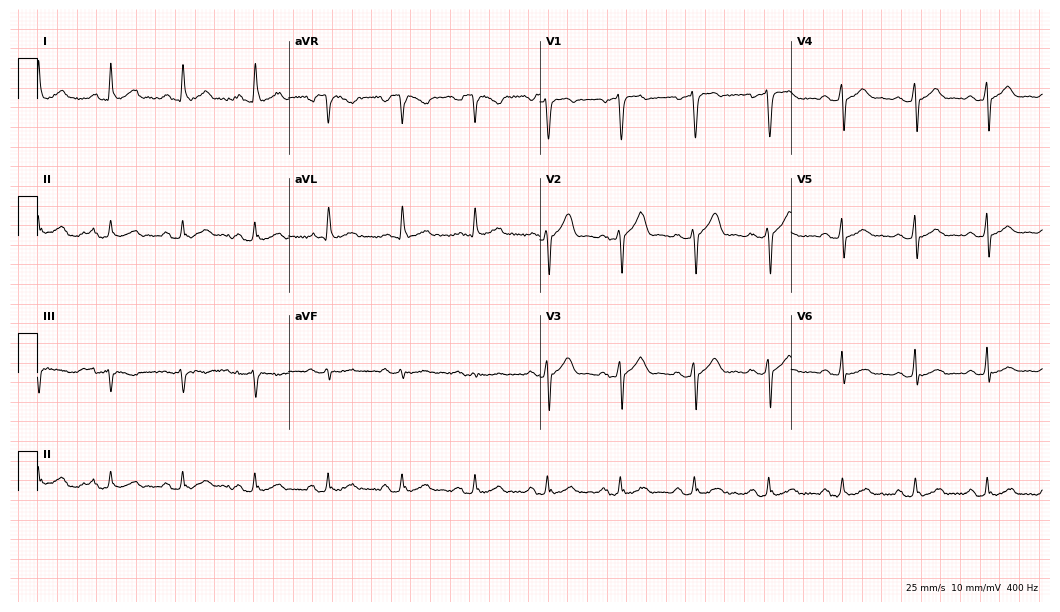
Standard 12-lead ECG recorded from a 35-year-old man (10.2-second recording at 400 Hz). None of these six findings is recorded: first-degree AV block, right bundle branch block, left bundle branch block, sinus bradycardia, atrial fibrillation, sinus tachycardia. Findings outside these six are not listed.